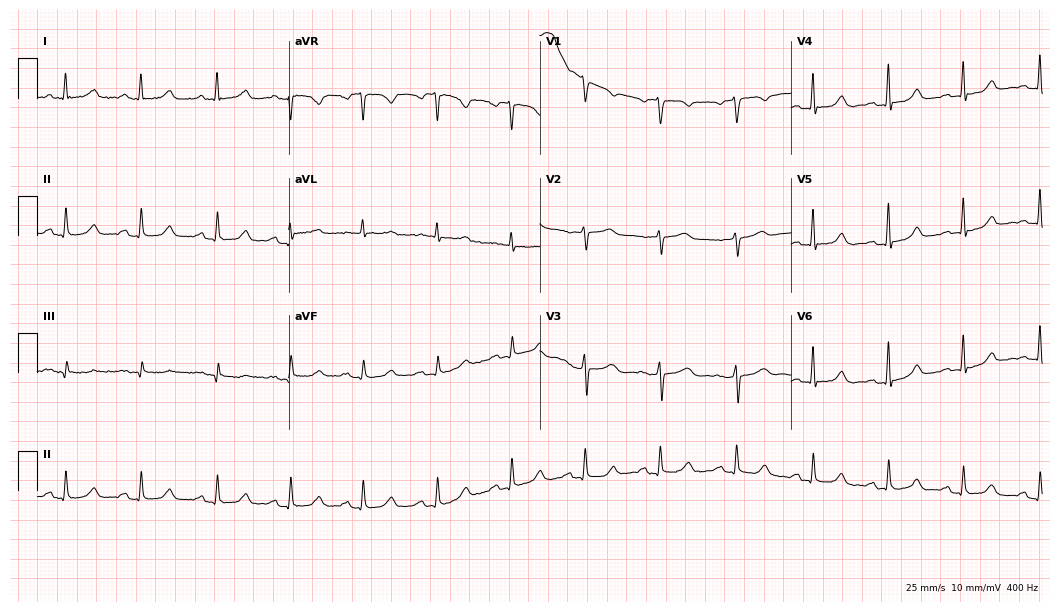
Standard 12-lead ECG recorded from a 66-year-old female patient (10.2-second recording at 400 Hz). Read as a normal ECG.